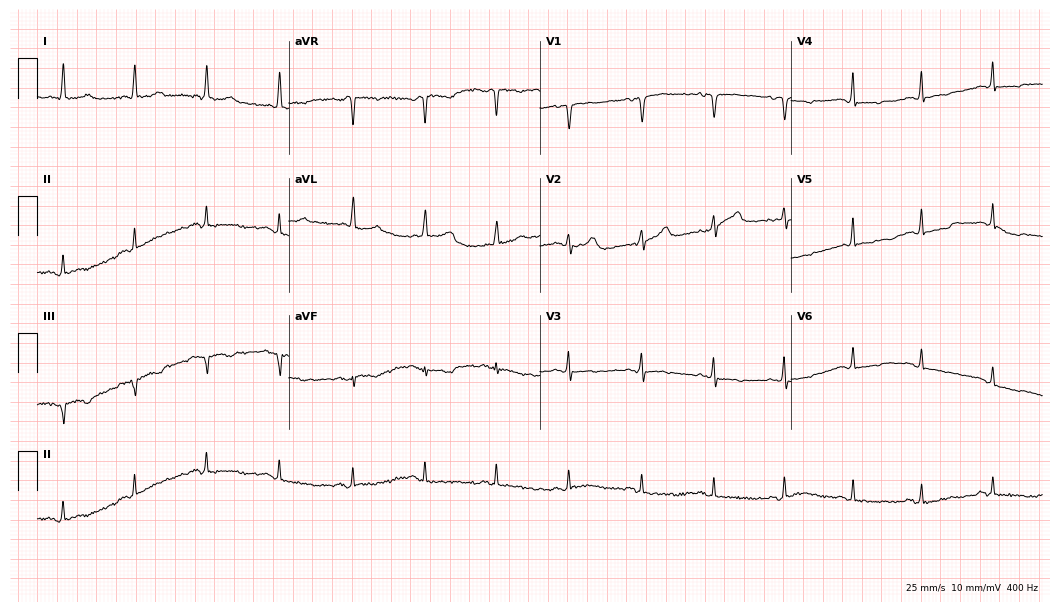
Resting 12-lead electrocardiogram (10.2-second recording at 400 Hz). Patient: a female, 57 years old. None of these six findings is recorded: first-degree AV block, right bundle branch block, left bundle branch block, sinus bradycardia, atrial fibrillation, sinus tachycardia. Findings outside these six are not listed.